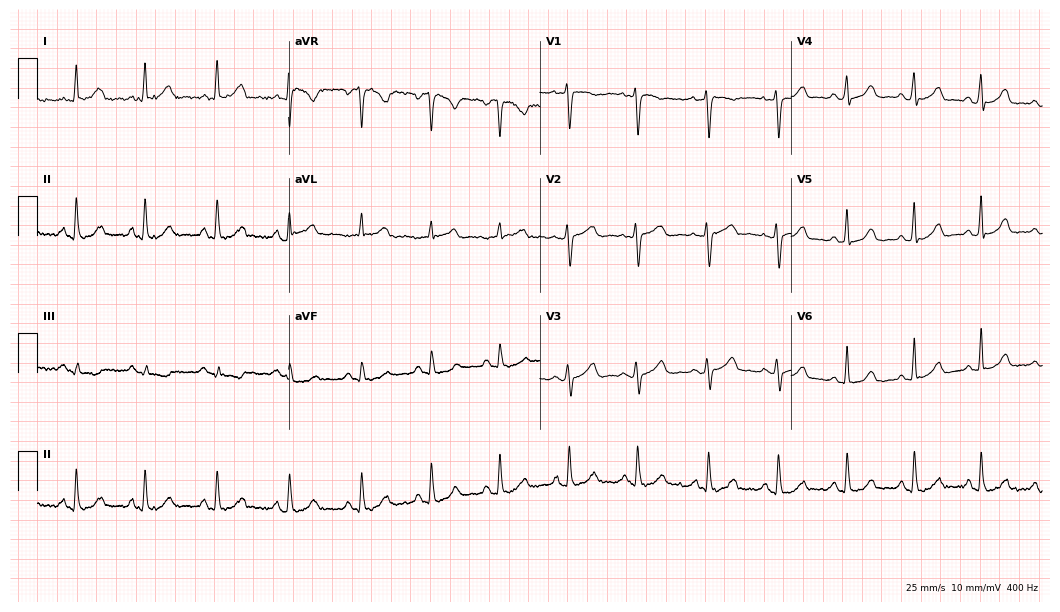
12-lead ECG from a 43-year-old female (10.2-second recording at 400 Hz). Recorded interpretation: within normal limits.